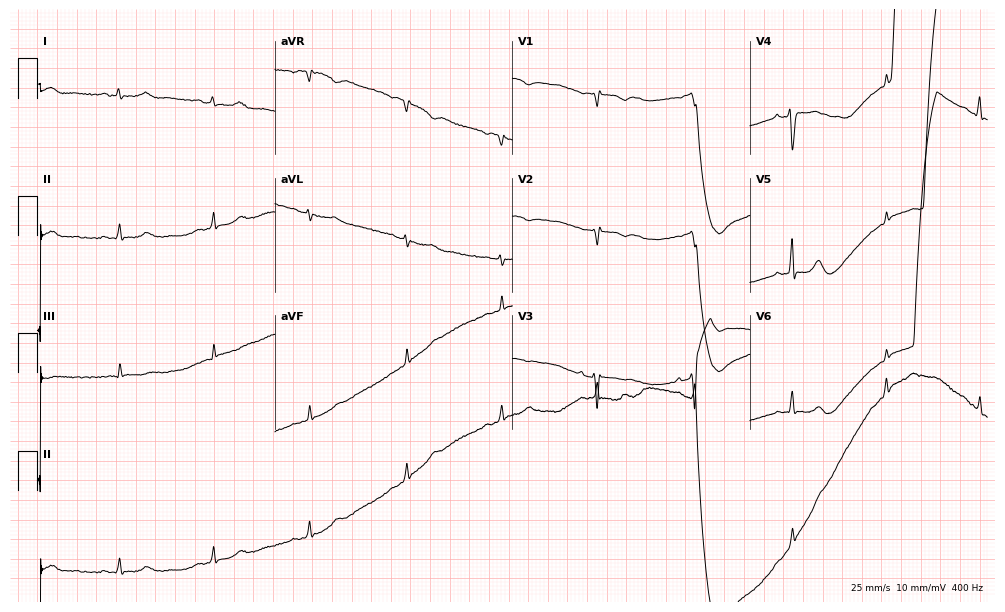
ECG — a female, 51 years old. Screened for six findings — first-degree AV block, right bundle branch block (RBBB), left bundle branch block (LBBB), sinus bradycardia, atrial fibrillation (AF), sinus tachycardia — none is recorded.